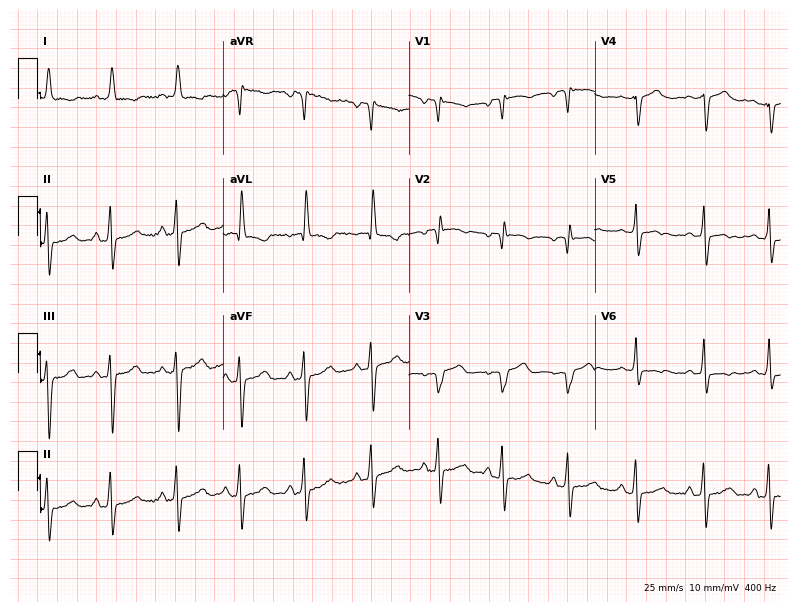
ECG (7.6-second recording at 400 Hz) — a female patient, 81 years old. Screened for six findings — first-degree AV block, right bundle branch block (RBBB), left bundle branch block (LBBB), sinus bradycardia, atrial fibrillation (AF), sinus tachycardia — none is recorded.